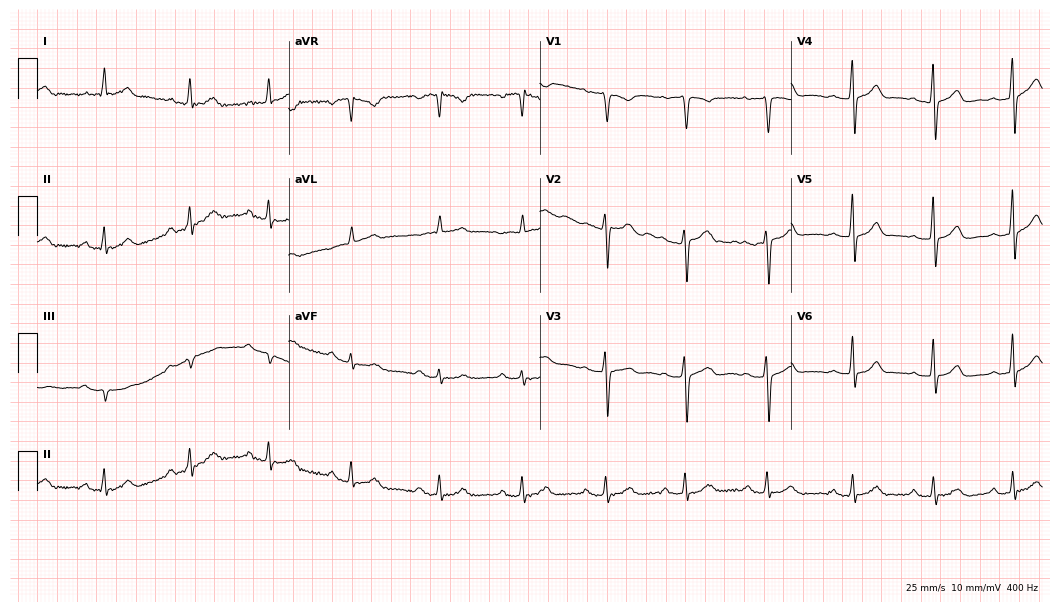
12-lead ECG from a 64-year-old woman. Recorded interpretation: within normal limits.